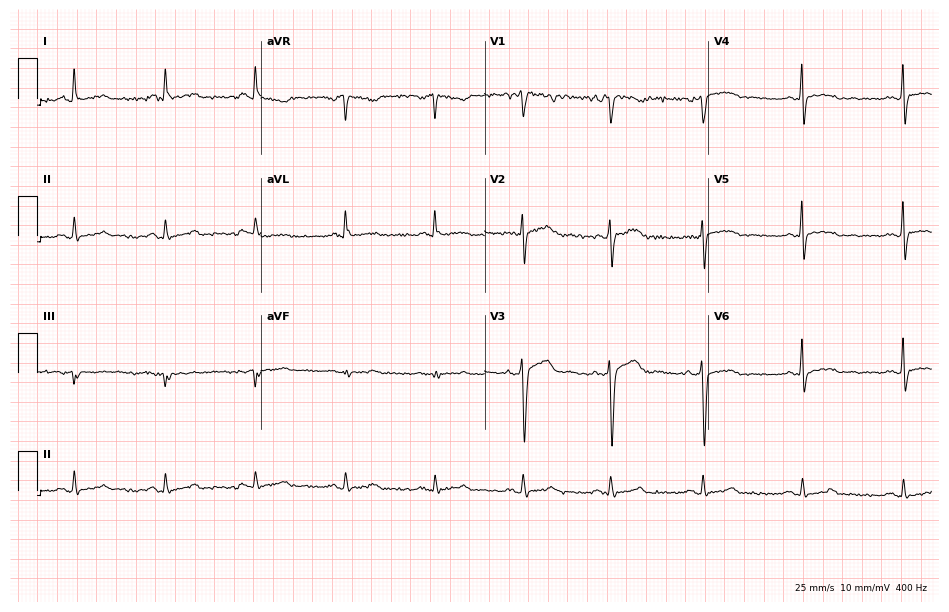
Standard 12-lead ECG recorded from a man, 47 years old (9.1-second recording at 400 Hz). None of these six findings is recorded: first-degree AV block, right bundle branch block, left bundle branch block, sinus bradycardia, atrial fibrillation, sinus tachycardia. Other findings, if any, are not listed.